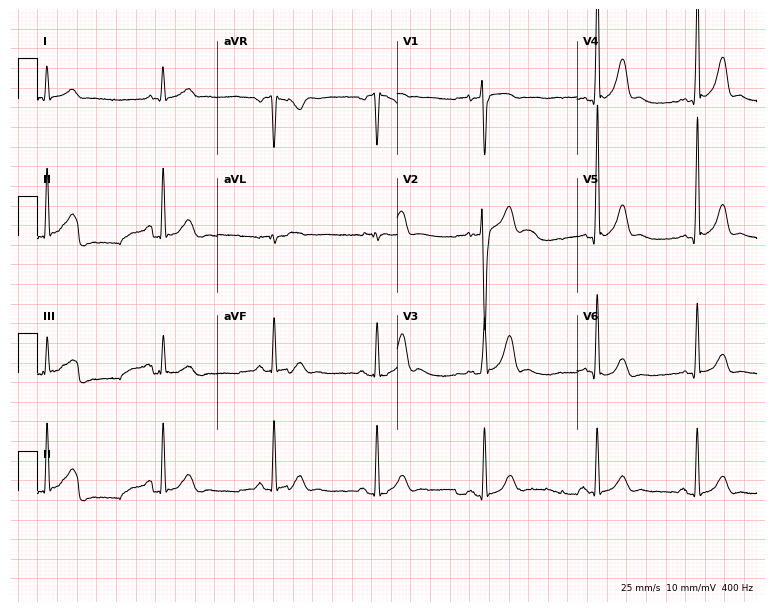
Resting 12-lead electrocardiogram (7.3-second recording at 400 Hz). Patient: a male, 23 years old. Read as a normal ECG.